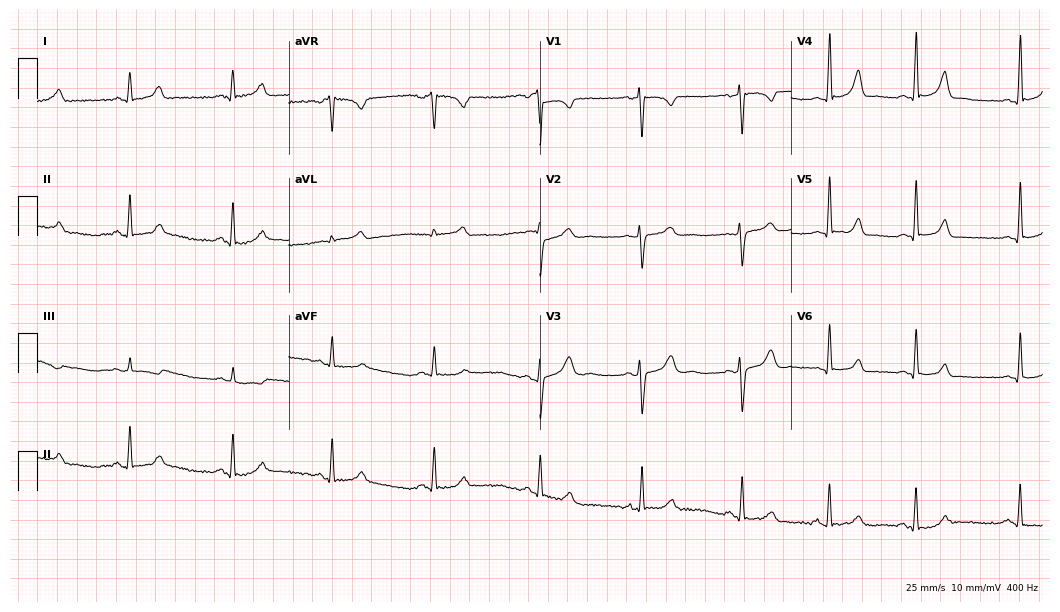
ECG (10.2-second recording at 400 Hz) — a 31-year-old female. Labelled as a normal ECG.